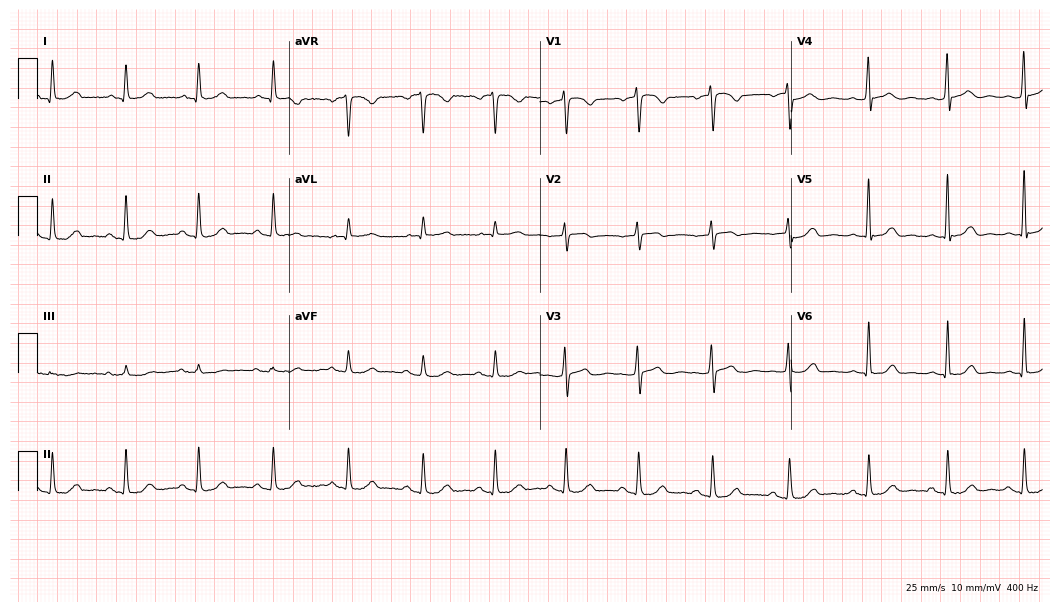
12-lead ECG from a 58-year-old female patient (10.2-second recording at 400 Hz). No first-degree AV block, right bundle branch block (RBBB), left bundle branch block (LBBB), sinus bradycardia, atrial fibrillation (AF) or sinus tachycardia recorded for this tracing. Only these six findings were labelled.